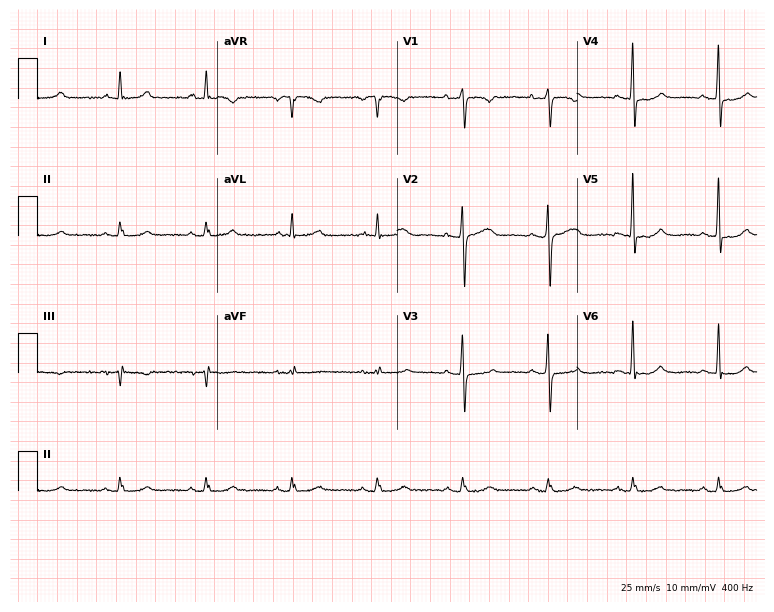
12-lead ECG from a female, 64 years old. Recorded interpretation: within normal limits.